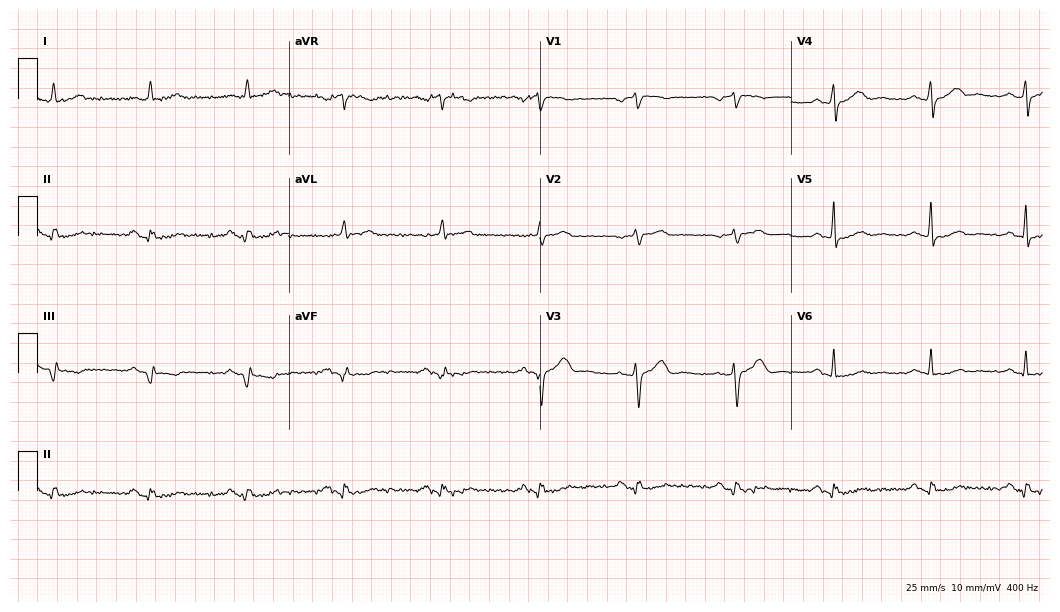
12-lead ECG (10.2-second recording at 400 Hz) from a 76-year-old male. Screened for six findings — first-degree AV block, right bundle branch block, left bundle branch block, sinus bradycardia, atrial fibrillation, sinus tachycardia — none is recorded.